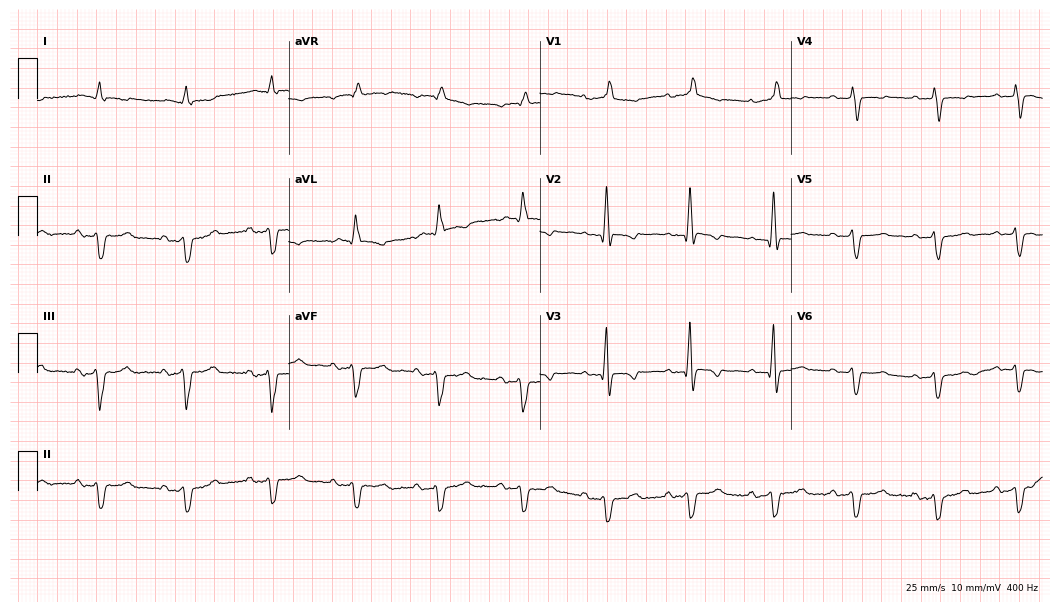
12-lead ECG from a female, 68 years old. Findings include first-degree AV block, right bundle branch block.